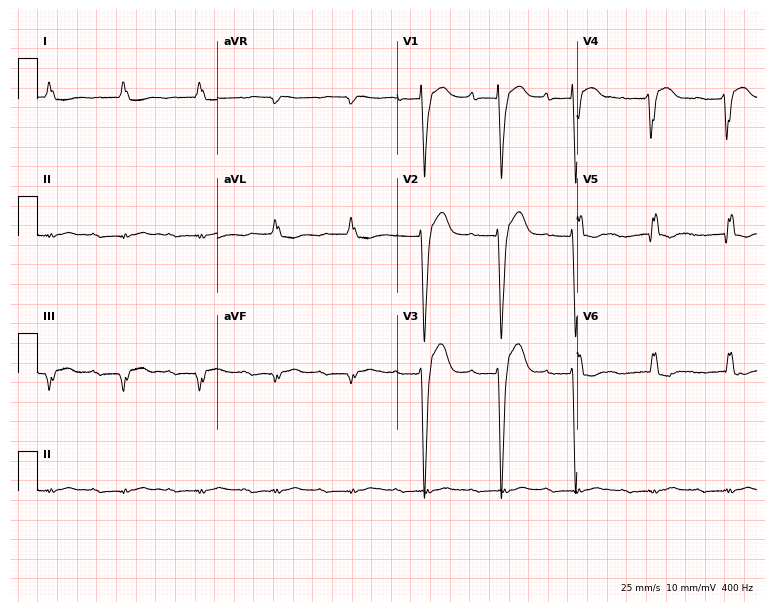
Resting 12-lead electrocardiogram. Patient: a woman, 81 years old. None of these six findings is recorded: first-degree AV block, right bundle branch block (RBBB), left bundle branch block (LBBB), sinus bradycardia, atrial fibrillation (AF), sinus tachycardia. Only these six findings were labelled.